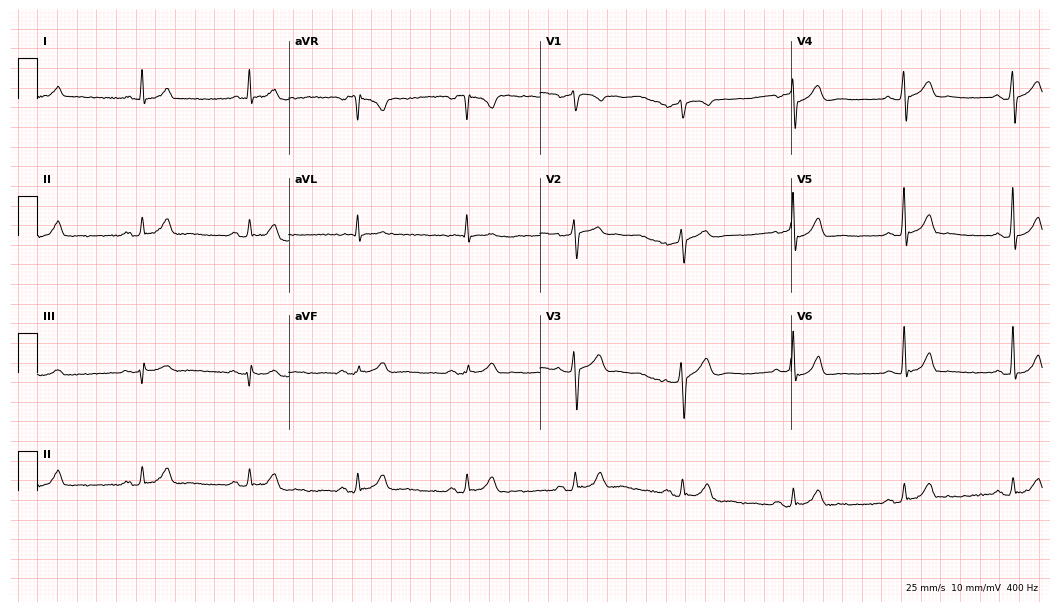
ECG — a man, 60 years old. Labelled as a normal ECG.